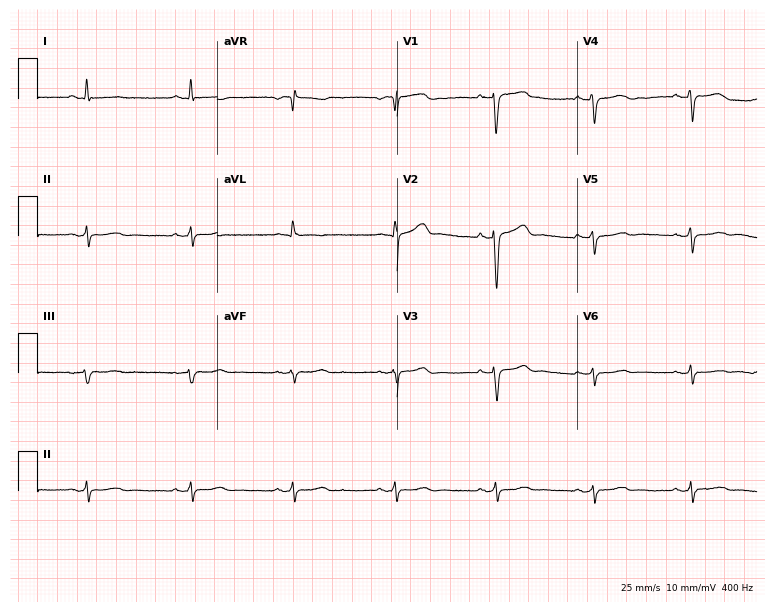
12-lead ECG from a 62-year-old female. Screened for six findings — first-degree AV block, right bundle branch block, left bundle branch block, sinus bradycardia, atrial fibrillation, sinus tachycardia — none is recorded.